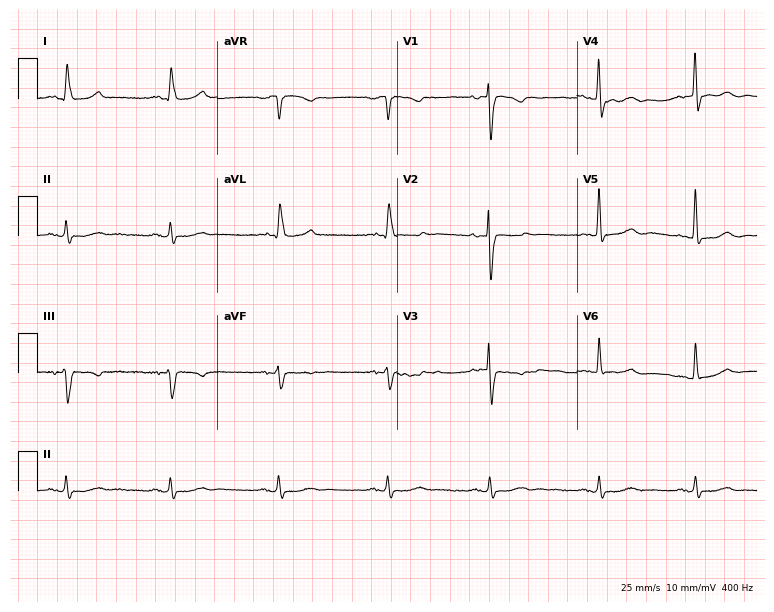
Resting 12-lead electrocardiogram (7.3-second recording at 400 Hz). Patient: a woman, 83 years old. None of these six findings is recorded: first-degree AV block, right bundle branch block, left bundle branch block, sinus bradycardia, atrial fibrillation, sinus tachycardia. Other findings, if any, are not listed.